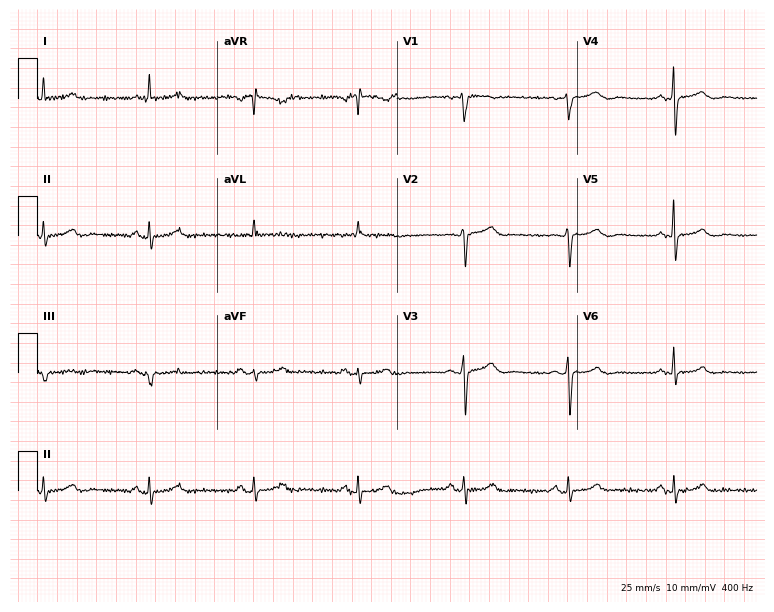
ECG (7.3-second recording at 400 Hz) — a 61-year-old woman. Labelled as a normal ECG.